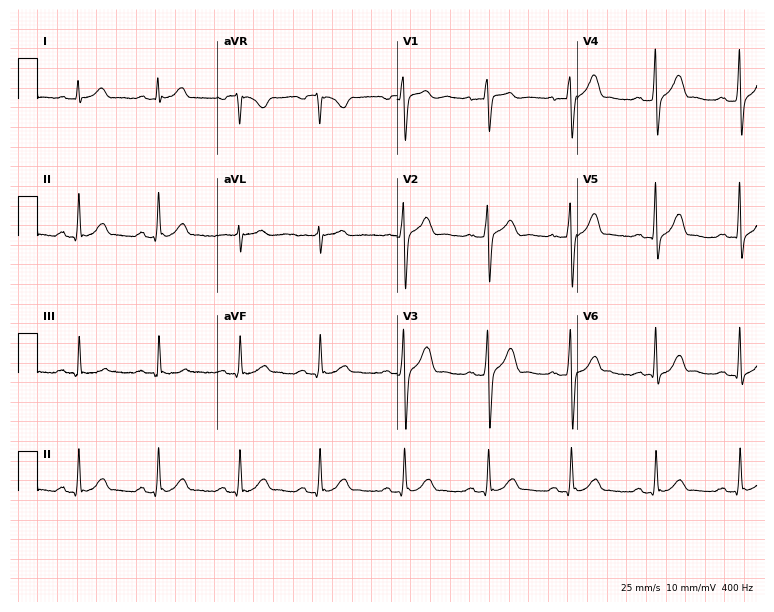
12-lead ECG from a 37-year-old male patient. Recorded interpretation: within normal limits.